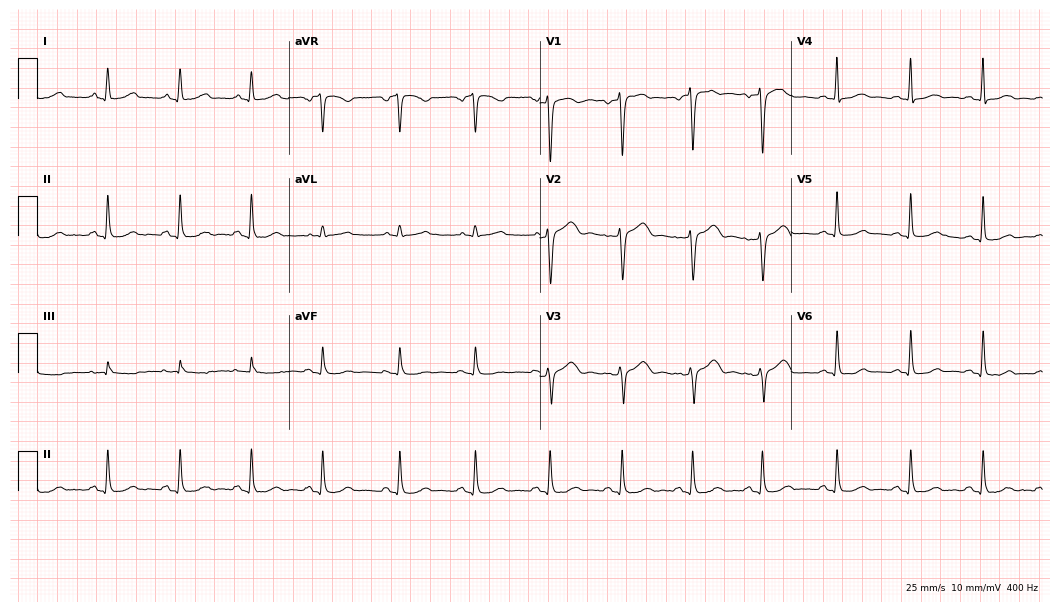
Electrocardiogram (10.2-second recording at 400 Hz), a 40-year-old female. Overall reading on record: normal ECG.